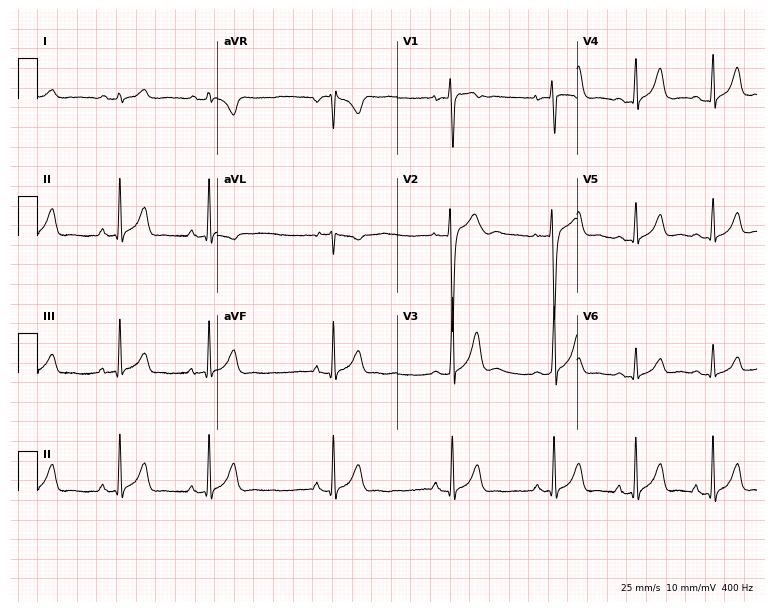
ECG — a male patient, 21 years old. Labelled as a normal ECG.